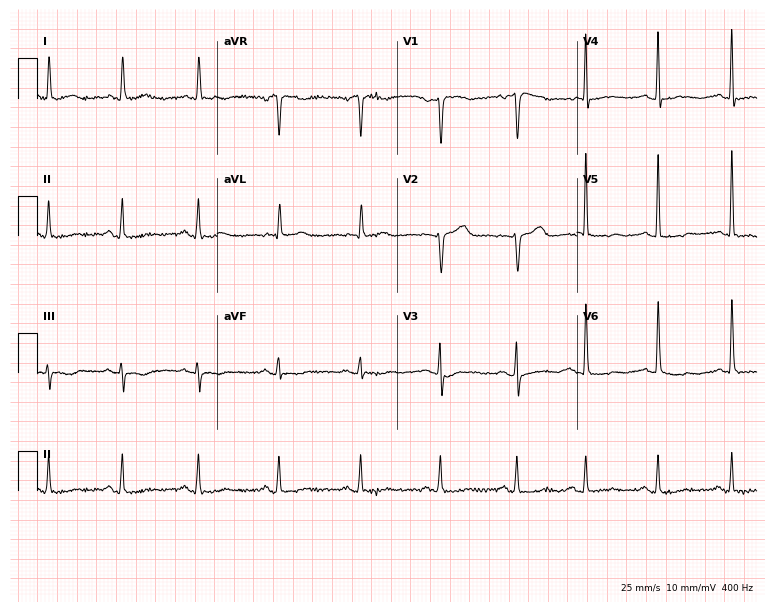
12-lead ECG from a 57-year-old woman (7.3-second recording at 400 Hz). No first-degree AV block, right bundle branch block, left bundle branch block, sinus bradycardia, atrial fibrillation or sinus tachycardia recorded for this tracing. Other findings, if any, are not listed.